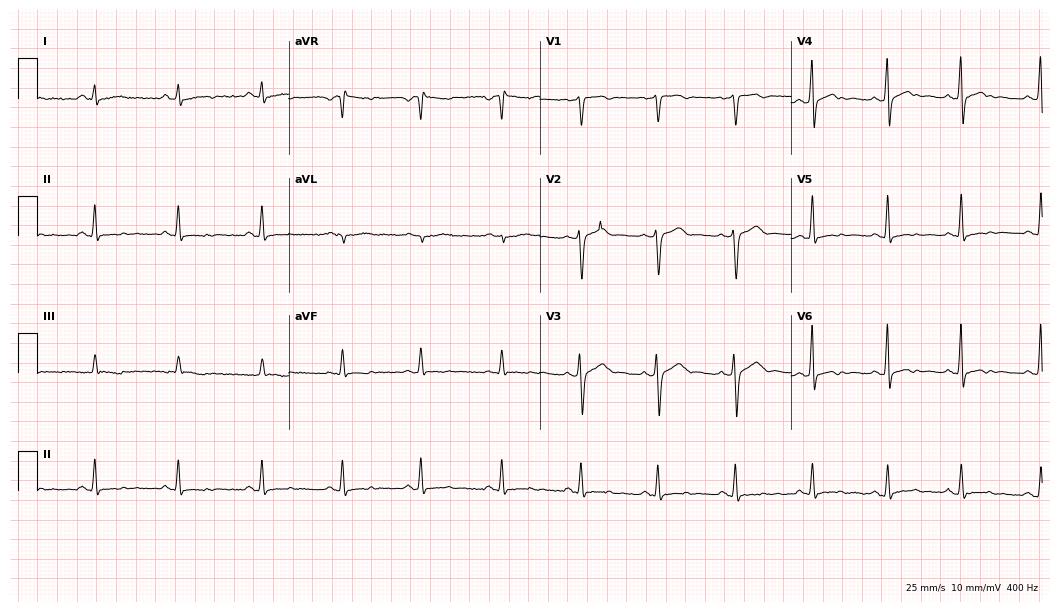
Resting 12-lead electrocardiogram (10.2-second recording at 400 Hz). Patient: a 37-year-old male. None of these six findings is recorded: first-degree AV block, right bundle branch block, left bundle branch block, sinus bradycardia, atrial fibrillation, sinus tachycardia.